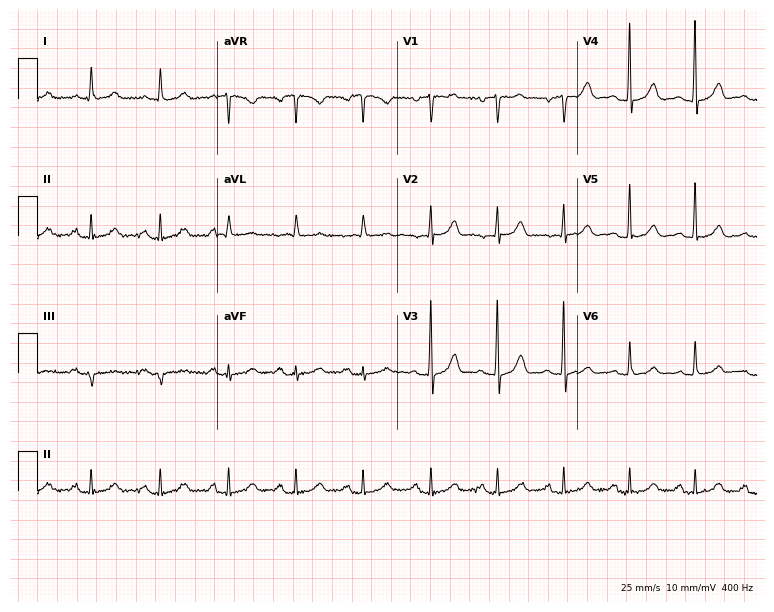
ECG — a male, 68 years old. Labelled as a normal ECG.